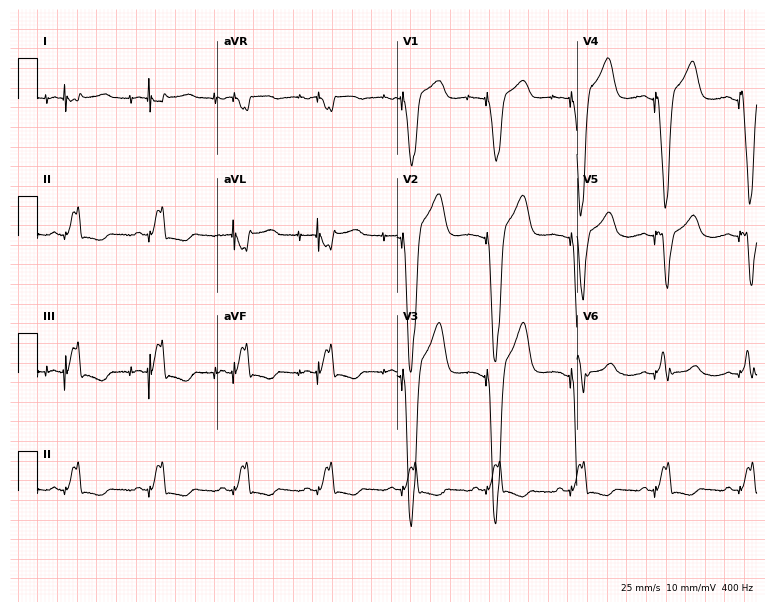
ECG (7.3-second recording at 400 Hz) — a 56-year-old male. Screened for six findings — first-degree AV block, right bundle branch block, left bundle branch block, sinus bradycardia, atrial fibrillation, sinus tachycardia — none is recorded. Only these six findings were labelled.